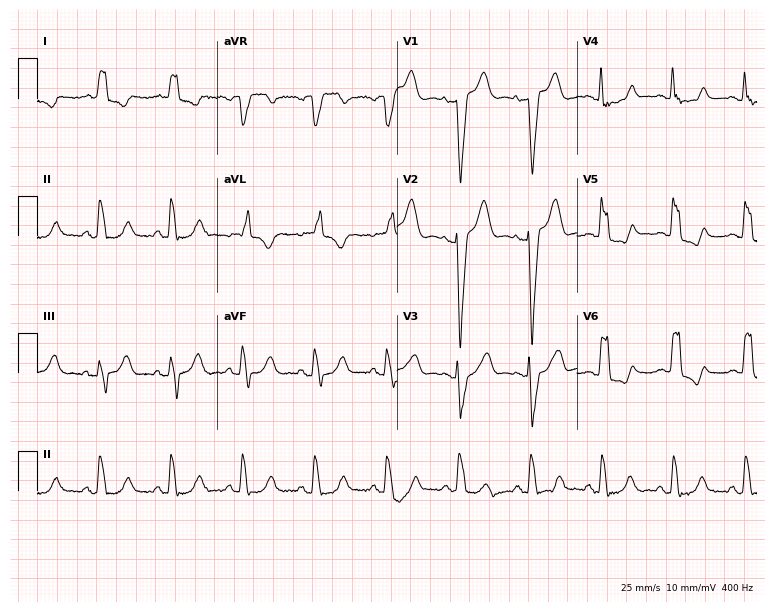
12-lead ECG (7.3-second recording at 400 Hz) from an 84-year-old female. Findings include left bundle branch block (LBBB).